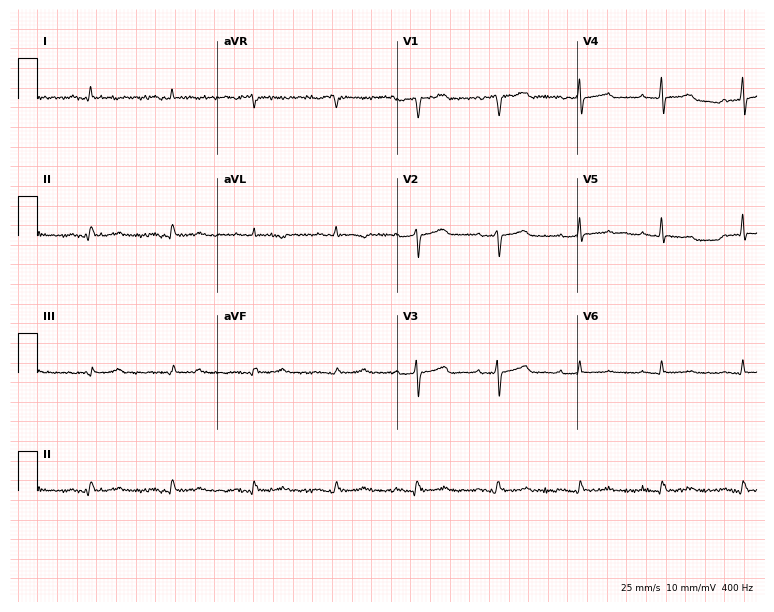
12-lead ECG from a 54-year-old male patient (7.3-second recording at 400 Hz). No first-degree AV block, right bundle branch block (RBBB), left bundle branch block (LBBB), sinus bradycardia, atrial fibrillation (AF) or sinus tachycardia recorded for this tracing.